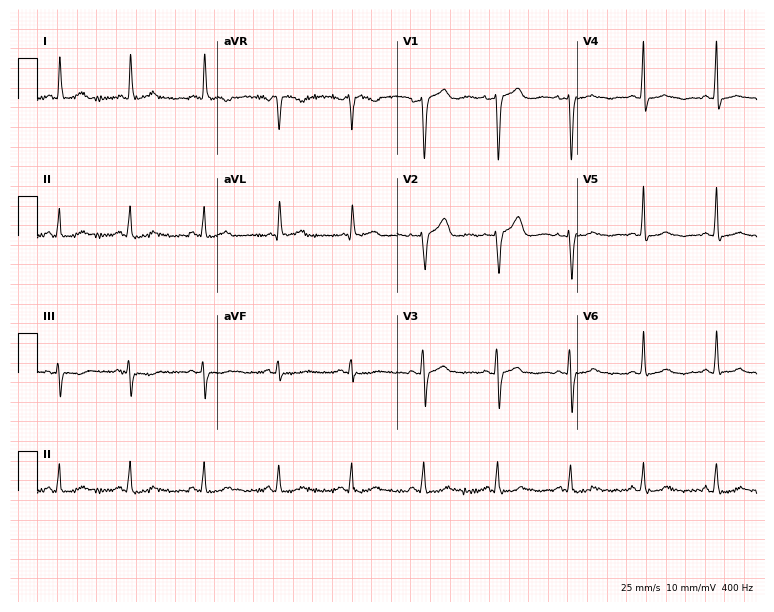
ECG (7.3-second recording at 400 Hz) — a 50-year-old woman. Labelled as a normal ECG.